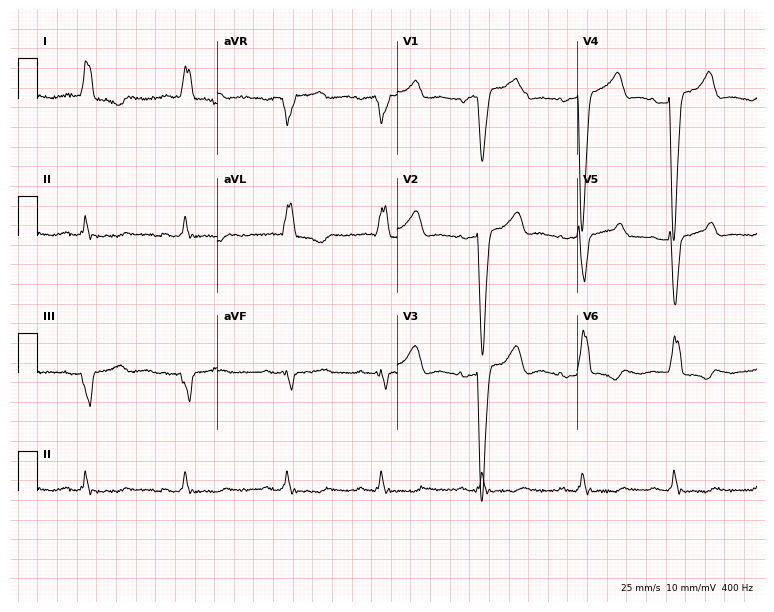
Standard 12-lead ECG recorded from a female patient, 73 years old (7.3-second recording at 400 Hz). The tracing shows left bundle branch block (LBBB).